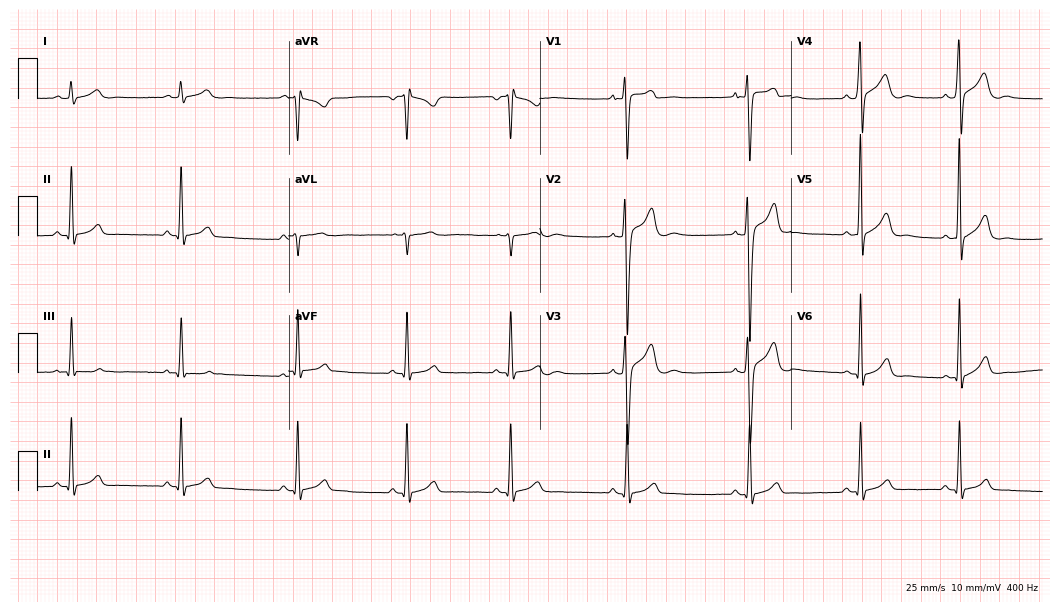
Standard 12-lead ECG recorded from a male patient, 20 years old. None of these six findings is recorded: first-degree AV block, right bundle branch block (RBBB), left bundle branch block (LBBB), sinus bradycardia, atrial fibrillation (AF), sinus tachycardia.